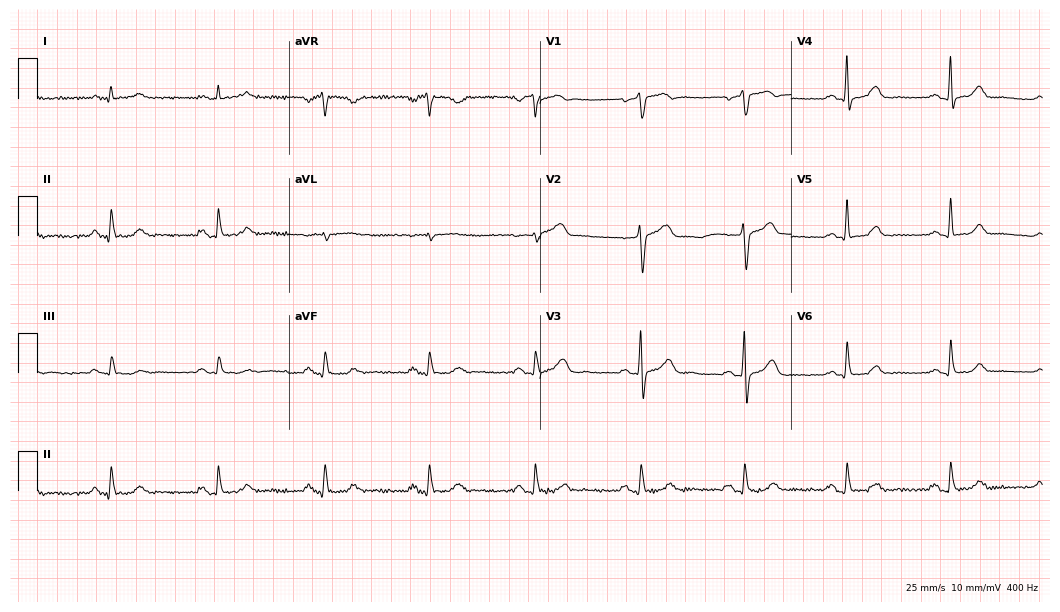
ECG (10.2-second recording at 400 Hz) — a 63-year-old man. Labelled as a normal ECG.